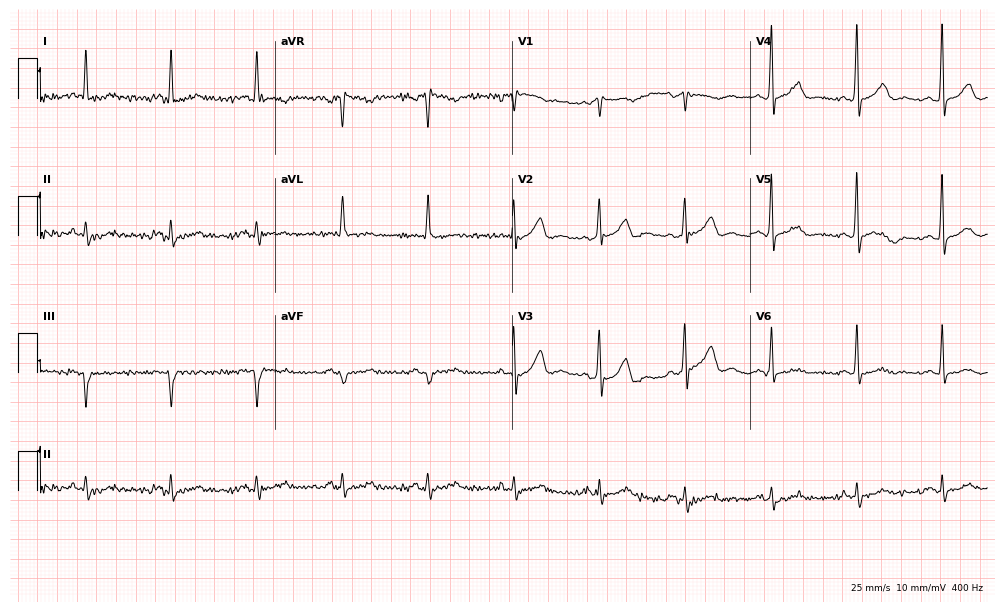
12-lead ECG (9.7-second recording at 400 Hz) from a 76-year-old male patient. Labelled as a normal ECG.